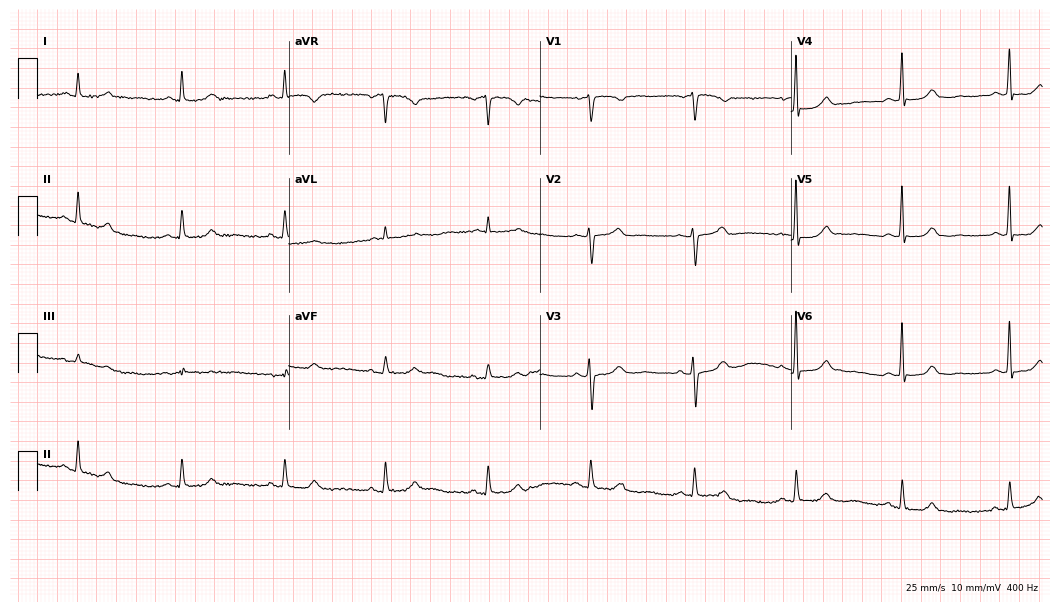
12-lead ECG from a female, 83 years old. Labelled as a normal ECG.